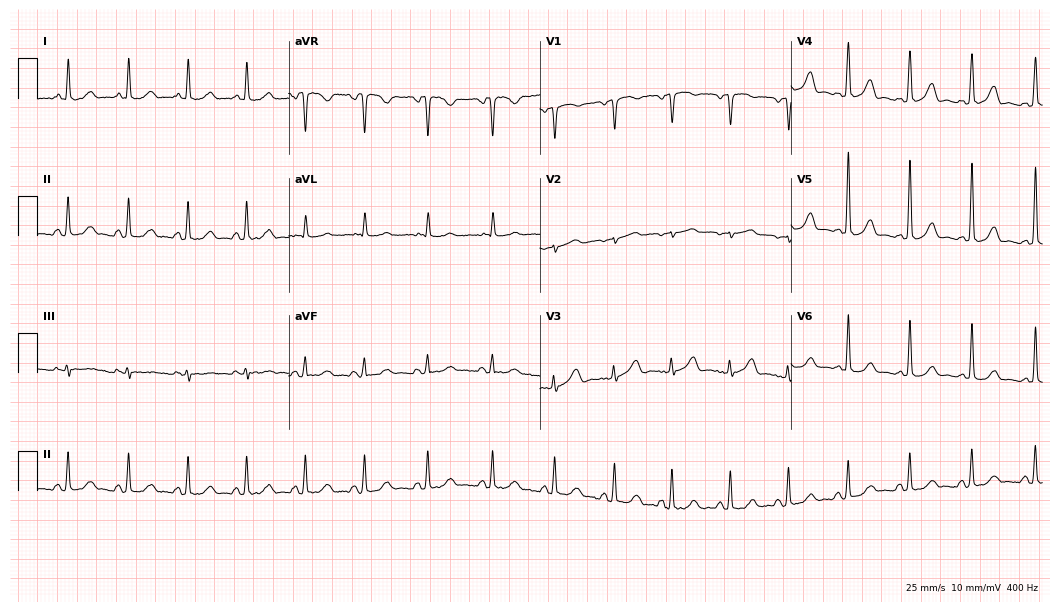
12-lead ECG from a woman, 60 years old. Screened for six findings — first-degree AV block, right bundle branch block, left bundle branch block, sinus bradycardia, atrial fibrillation, sinus tachycardia — none is recorded.